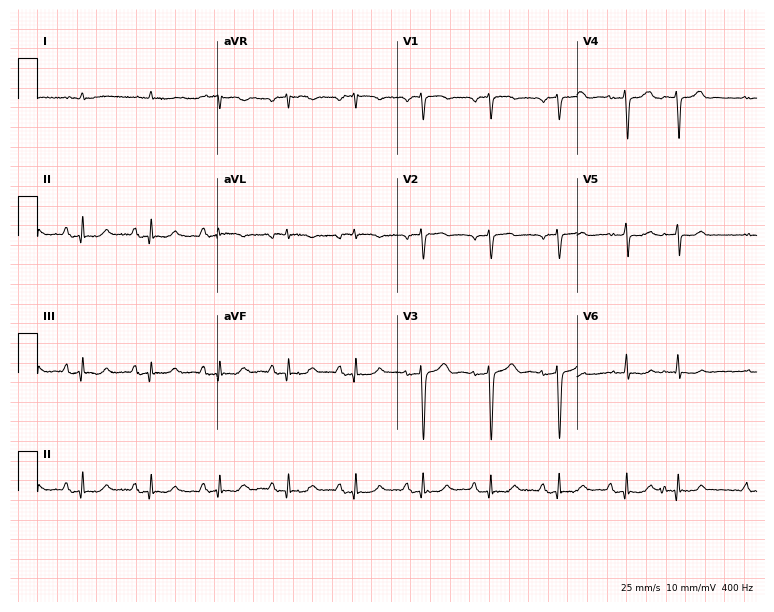
ECG — a male, 82 years old. Screened for six findings — first-degree AV block, right bundle branch block (RBBB), left bundle branch block (LBBB), sinus bradycardia, atrial fibrillation (AF), sinus tachycardia — none is recorded. Findings outside these six are not listed.